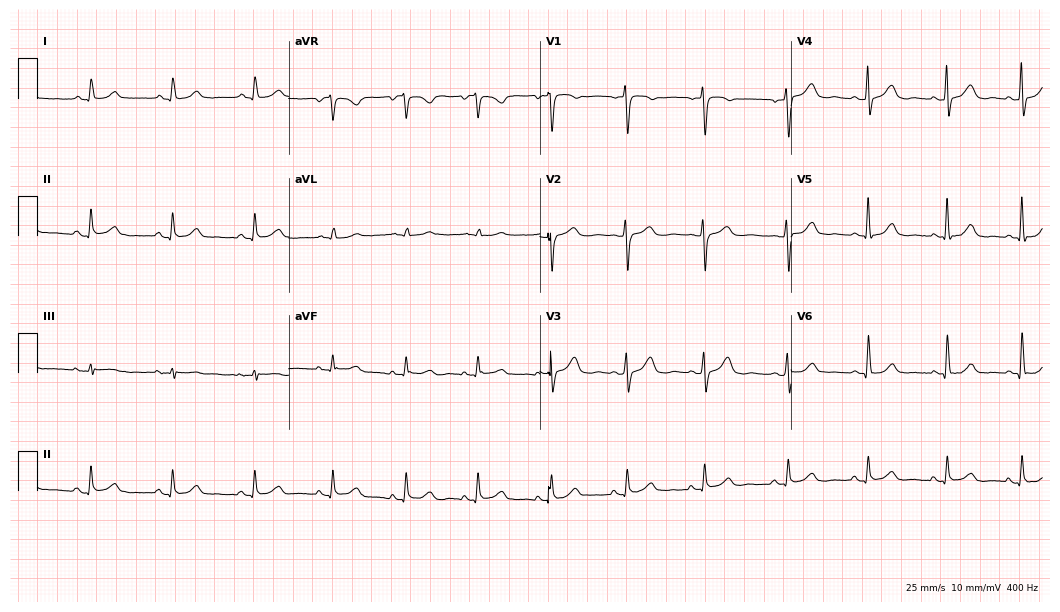
12-lead ECG (10.2-second recording at 400 Hz) from a 51-year-old woman. Screened for six findings — first-degree AV block, right bundle branch block, left bundle branch block, sinus bradycardia, atrial fibrillation, sinus tachycardia — none is recorded.